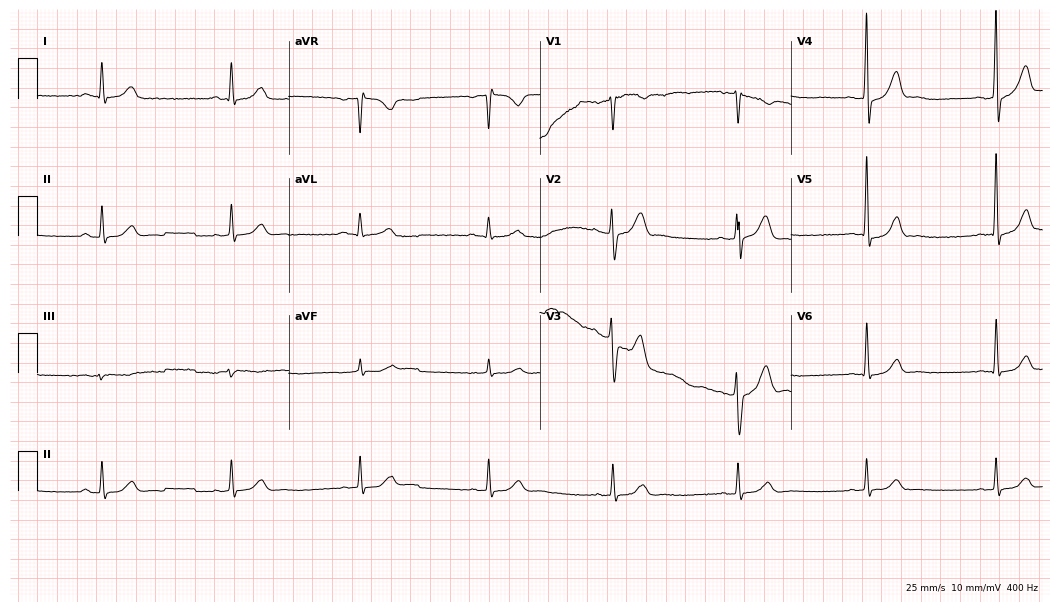
12-lead ECG (10.2-second recording at 400 Hz) from a male patient, 43 years old. Findings include sinus bradycardia (a sinus rate of 50 beats per minute or less).